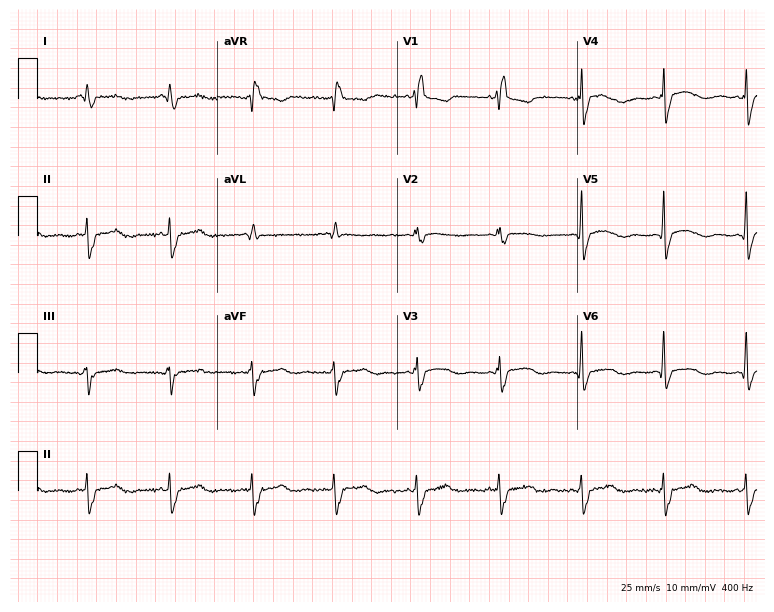
Electrocardiogram (7.3-second recording at 400 Hz), a female, 55 years old. Of the six screened findings (first-degree AV block, right bundle branch block, left bundle branch block, sinus bradycardia, atrial fibrillation, sinus tachycardia), none is recorded. Other findings, if any, are not listed.